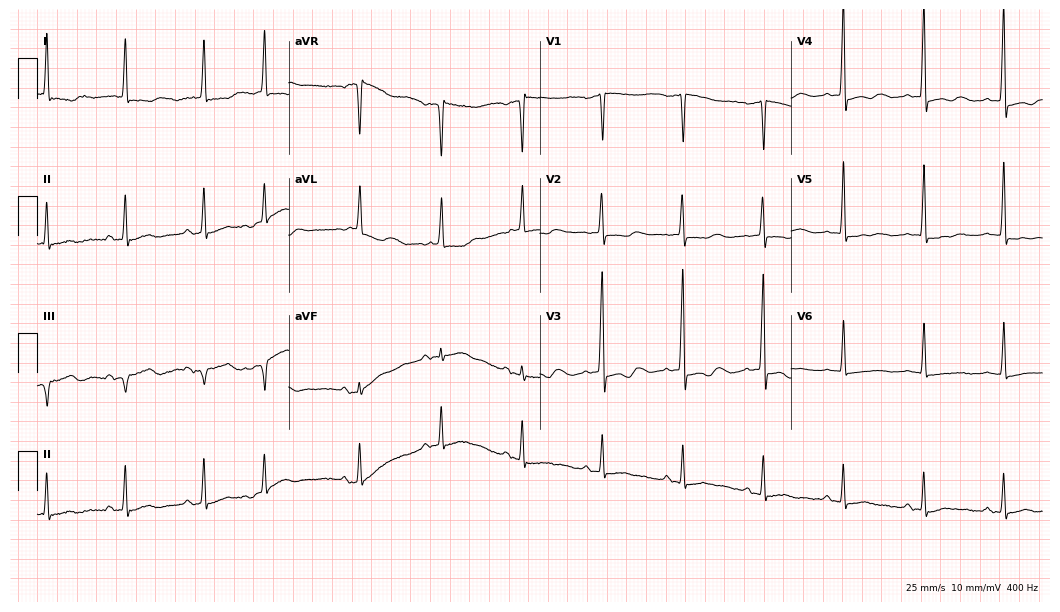
Standard 12-lead ECG recorded from a female patient, 81 years old. Read as a normal ECG.